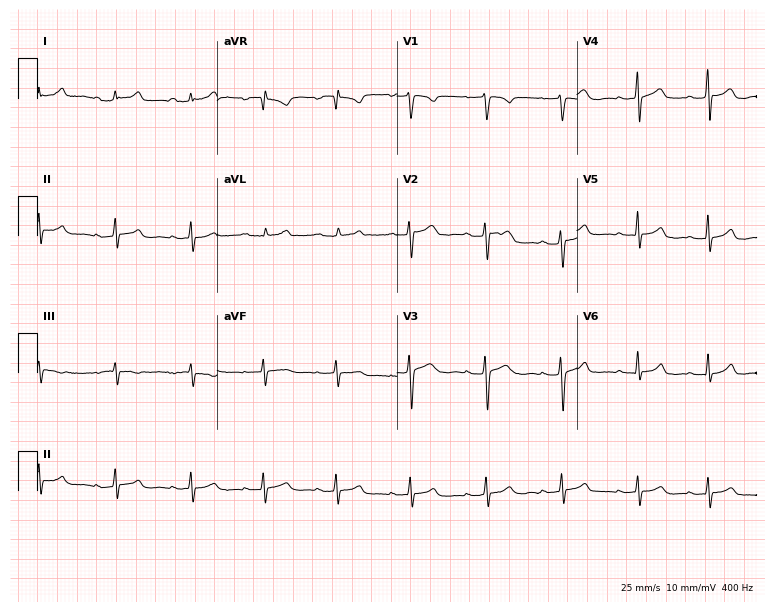
Resting 12-lead electrocardiogram (7.3-second recording at 400 Hz). Patient: a 23-year-old female. None of these six findings is recorded: first-degree AV block, right bundle branch block, left bundle branch block, sinus bradycardia, atrial fibrillation, sinus tachycardia. Findings outside these six are not listed.